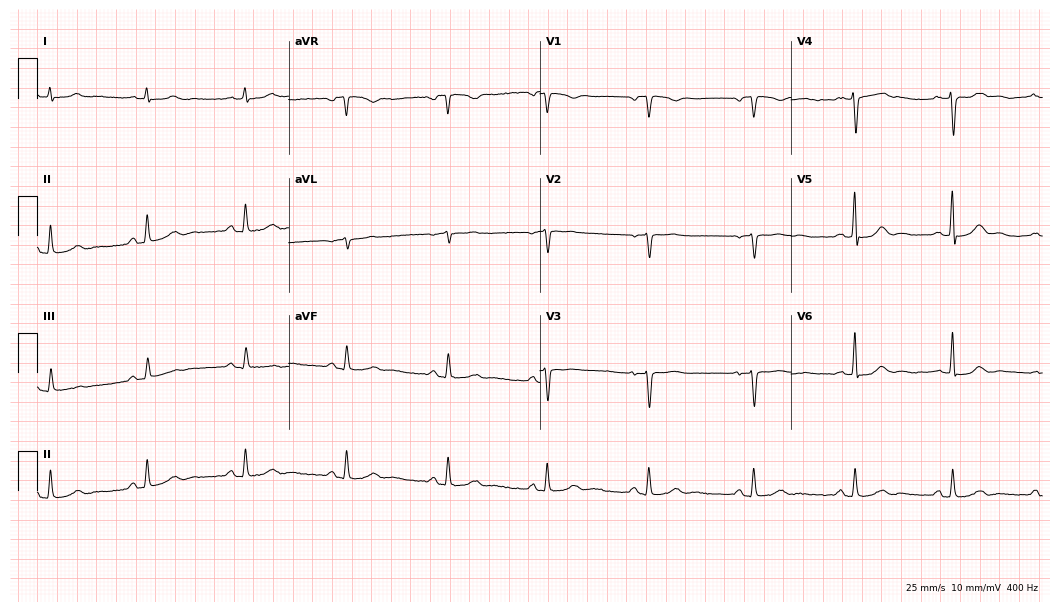
12-lead ECG from a 56-year-old female (10.2-second recording at 400 Hz). No first-degree AV block, right bundle branch block, left bundle branch block, sinus bradycardia, atrial fibrillation or sinus tachycardia recorded for this tracing. Findings outside these six are not listed.